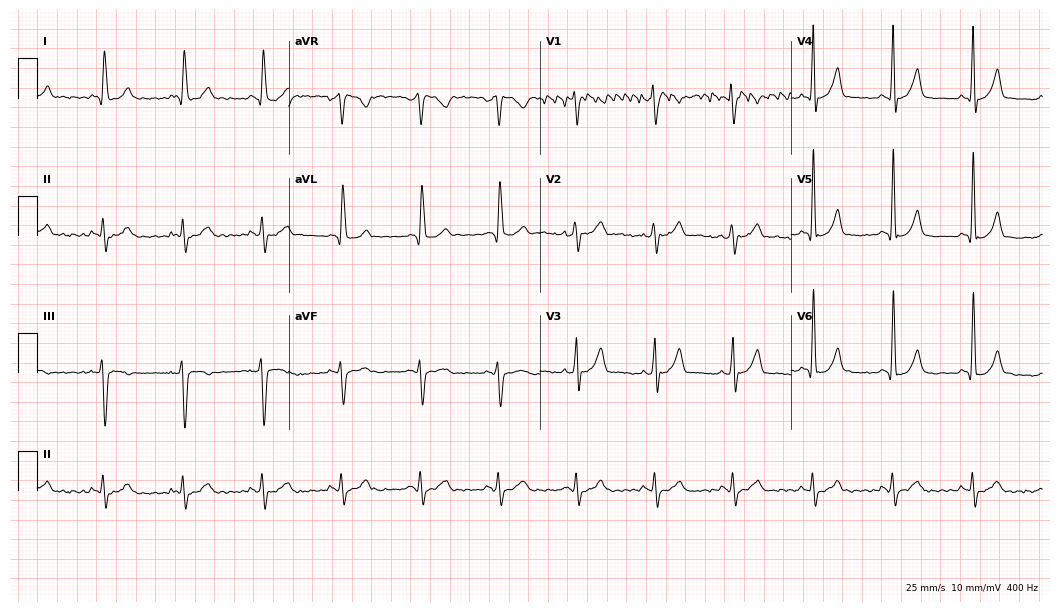
Standard 12-lead ECG recorded from a 53-year-old male. None of these six findings is recorded: first-degree AV block, right bundle branch block, left bundle branch block, sinus bradycardia, atrial fibrillation, sinus tachycardia. Only these six findings were labelled.